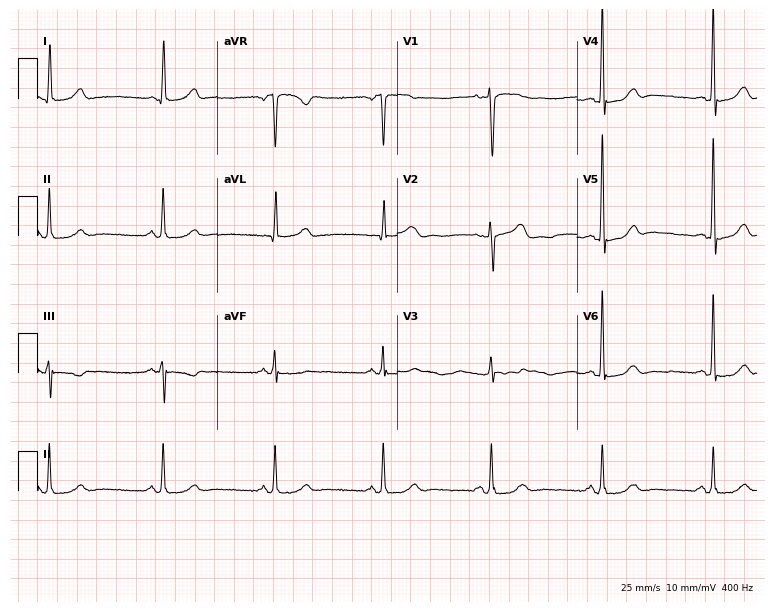
12-lead ECG from a woman, 69 years old. Labelled as a normal ECG.